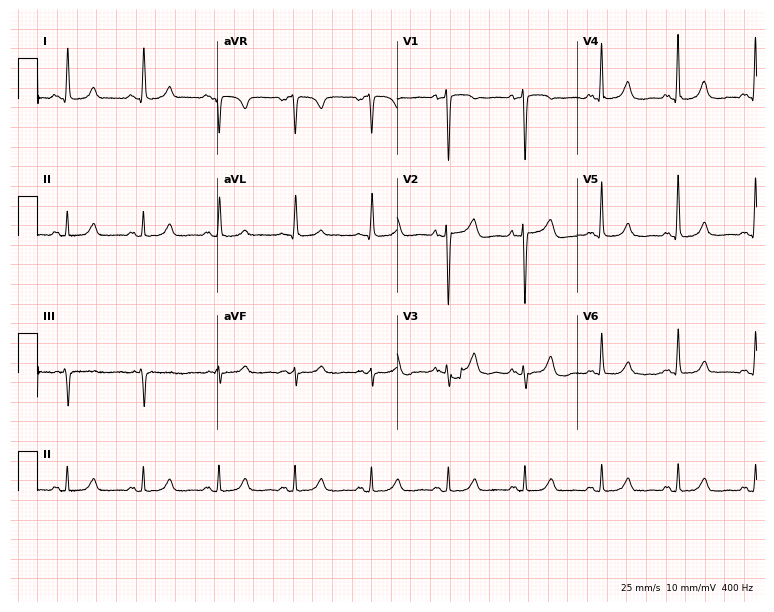
Standard 12-lead ECG recorded from a female, 84 years old. None of these six findings is recorded: first-degree AV block, right bundle branch block, left bundle branch block, sinus bradycardia, atrial fibrillation, sinus tachycardia. Other findings, if any, are not listed.